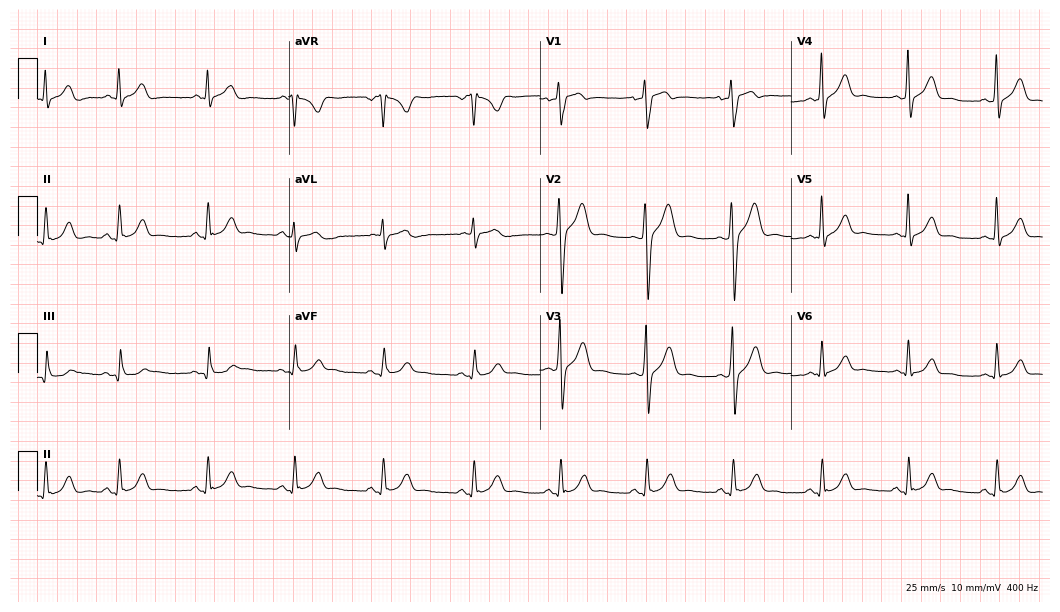
Resting 12-lead electrocardiogram. Patient: a 40-year-old male. None of these six findings is recorded: first-degree AV block, right bundle branch block, left bundle branch block, sinus bradycardia, atrial fibrillation, sinus tachycardia. Findings outside these six are not listed.